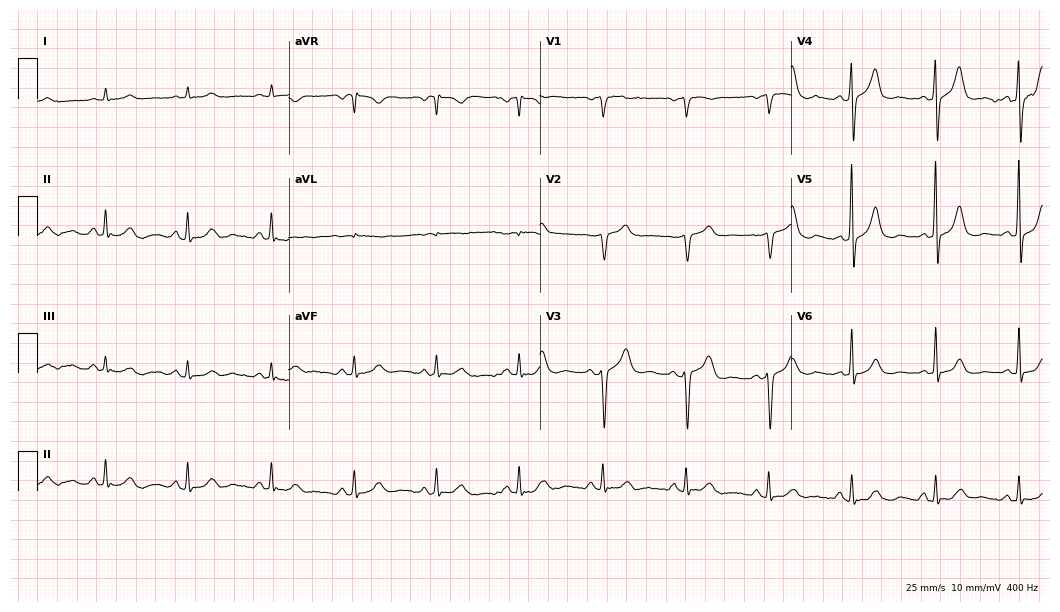
12-lead ECG from a male, 74 years old. Recorded interpretation: within normal limits.